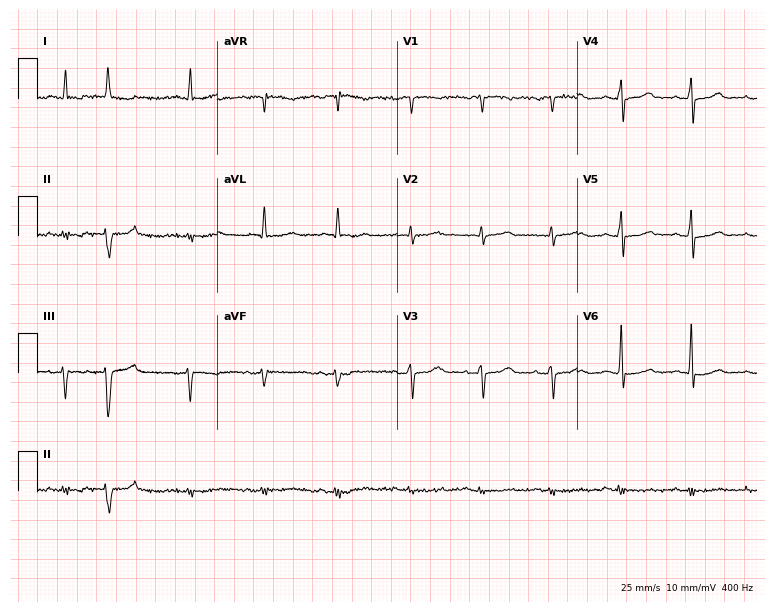
Standard 12-lead ECG recorded from an 82-year-old male. None of these six findings is recorded: first-degree AV block, right bundle branch block (RBBB), left bundle branch block (LBBB), sinus bradycardia, atrial fibrillation (AF), sinus tachycardia. Findings outside these six are not listed.